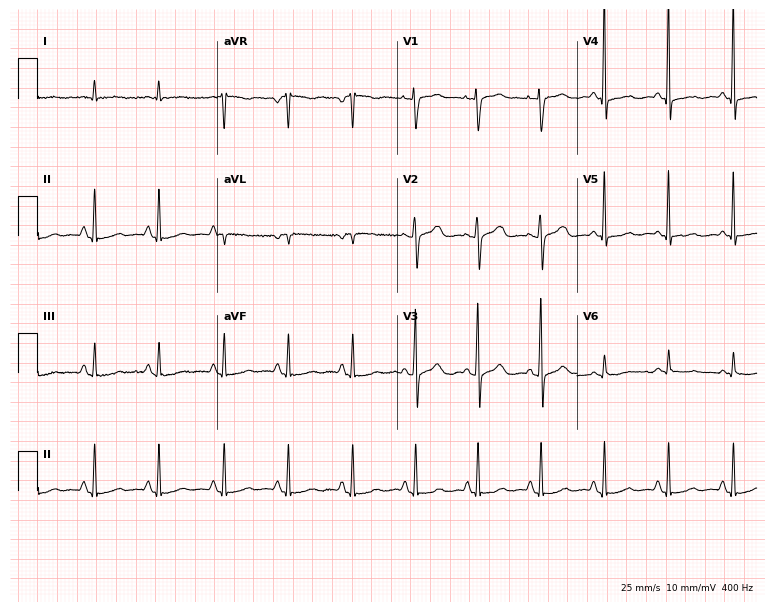
12-lead ECG from a 57-year-old woman. Screened for six findings — first-degree AV block, right bundle branch block, left bundle branch block, sinus bradycardia, atrial fibrillation, sinus tachycardia — none is recorded.